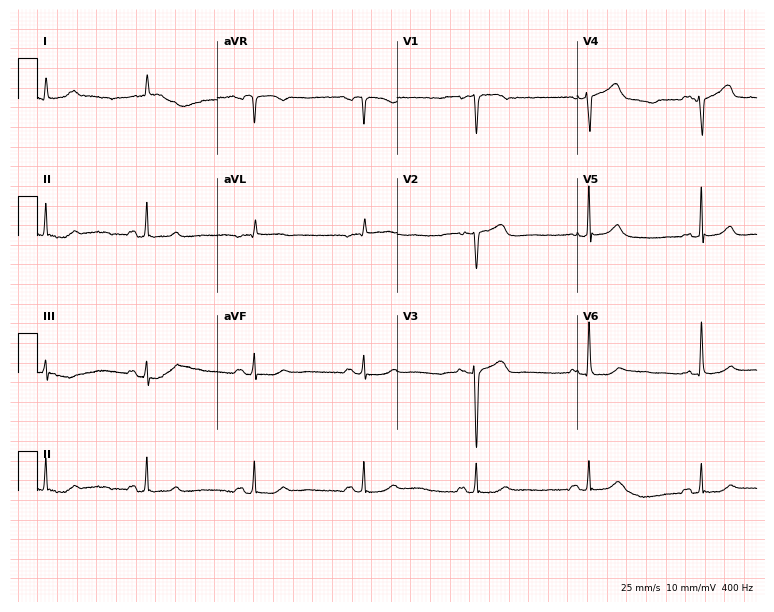
Resting 12-lead electrocardiogram. Patient: a 73-year-old female. Read as a normal ECG.